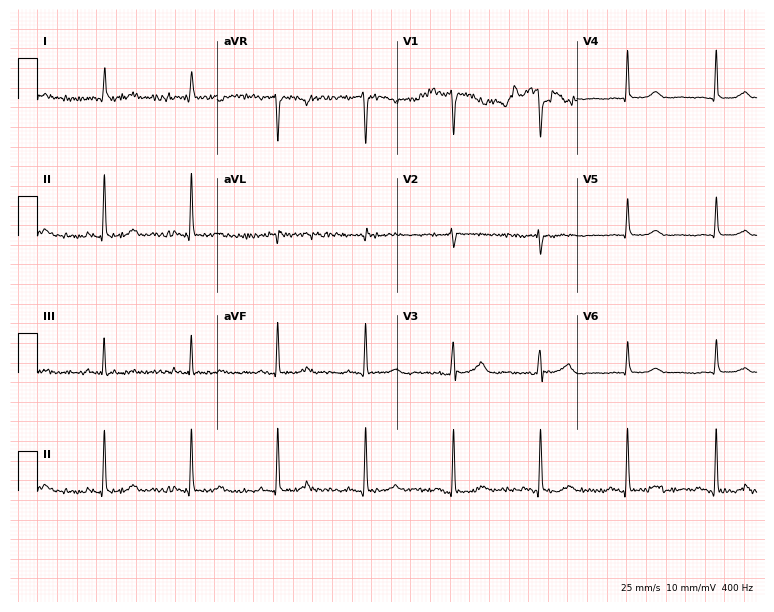
Resting 12-lead electrocardiogram. Patient: a 77-year-old woman. None of these six findings is recorded: first-degree AV block, right bundle branch block (RBBB), left bundle branch block (LBBB), sinus bradycardia, atrial fibrillation (AF), sinus tachycardia.